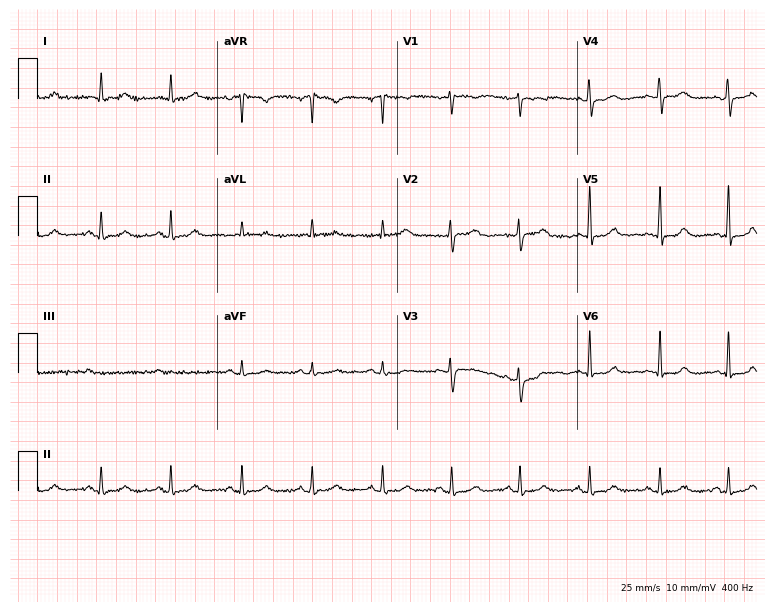
Resting 12-lead electrocardiogram. Patient: a female, 57 years old. None of these six findings is recorded: first-degree AV block, right bundle branch block (RBBB), left bundle branch block (LBBB), sinus bradycardia, atrial fibrillation (AF), sinus tachycardia.